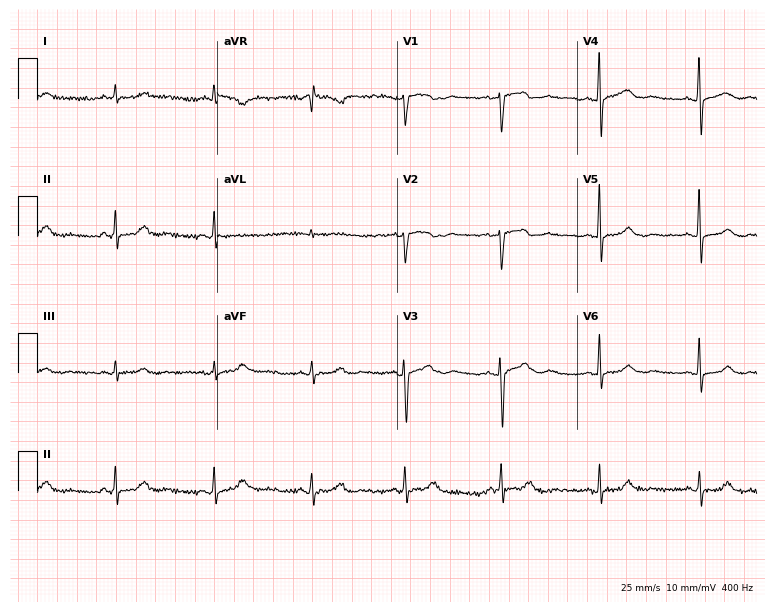
Standard 12-lead ECG recorded from a female patient, 62 years old (7.3-second recording at 400 Hz). Read as a normal ECG.